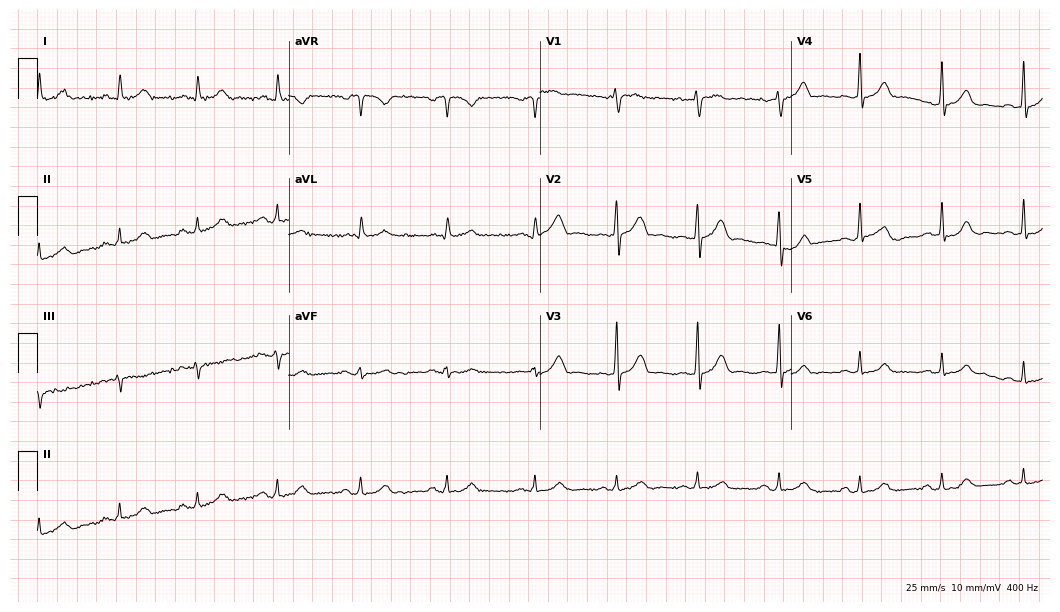
ECG — a woman, 37 years old. Labelled as a normal ECG.